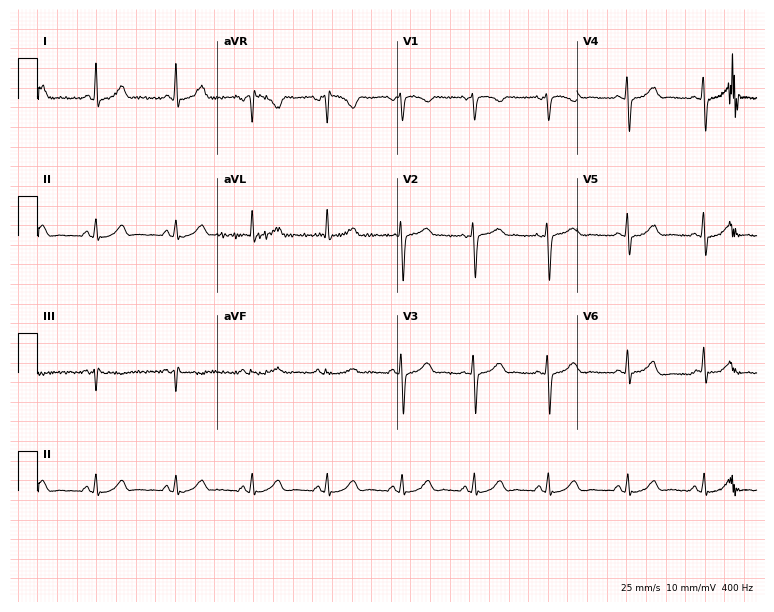
Electrocardiogram, a female, 46 years old. Overall reading on record: normal ECG.